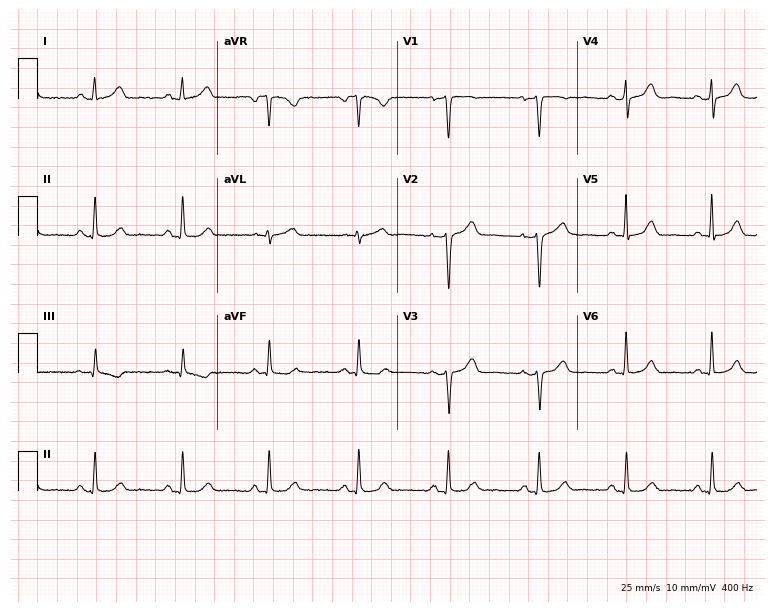
Standard 12-lead ECG recorded from a female patient, 49 years old. Read as a normal ECG.